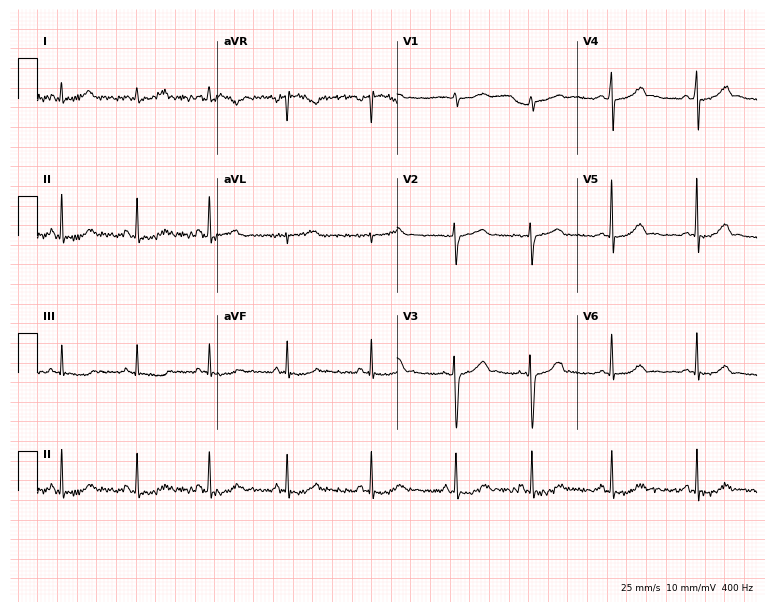
12-lead ECG from a 20-year-old female. Labelled as a normal ECG.